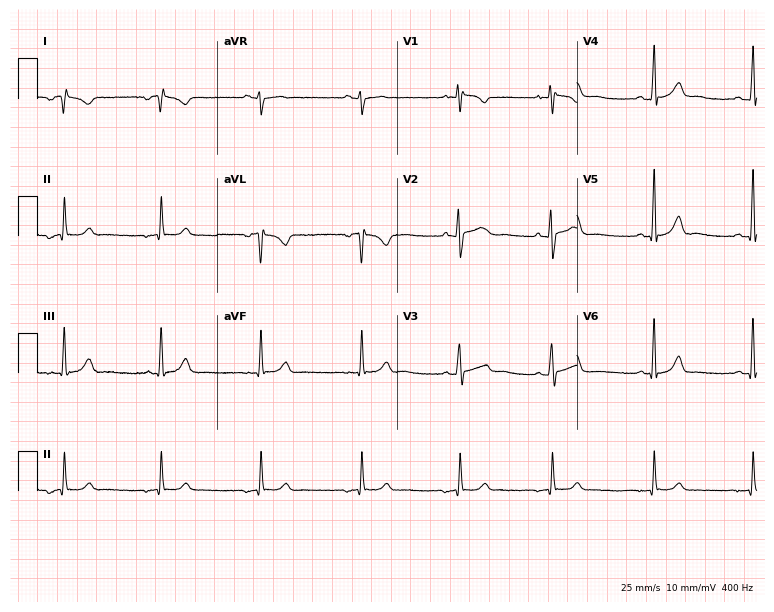
Resting 12-lead electrocardiogram. Patient: a 30-year-old female. None of these six findings is recorded: first-degree AV block, right bundle branch block (RBBB), left bundle branch block (LBBB), sinus bradycardia, atrial fibrillation (AF), sinus tachycardia.